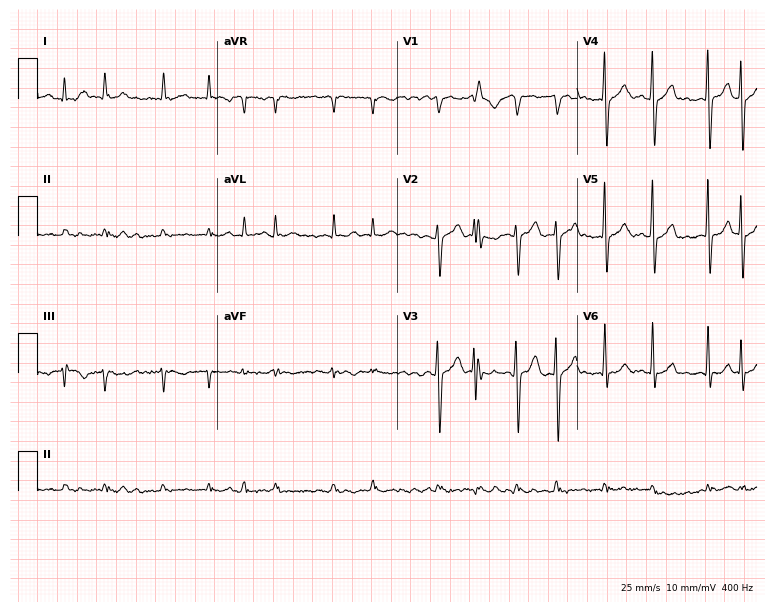
Electrocardiogram, an 82-year-old man. Interpretation includes atrial fibrillation (AF).